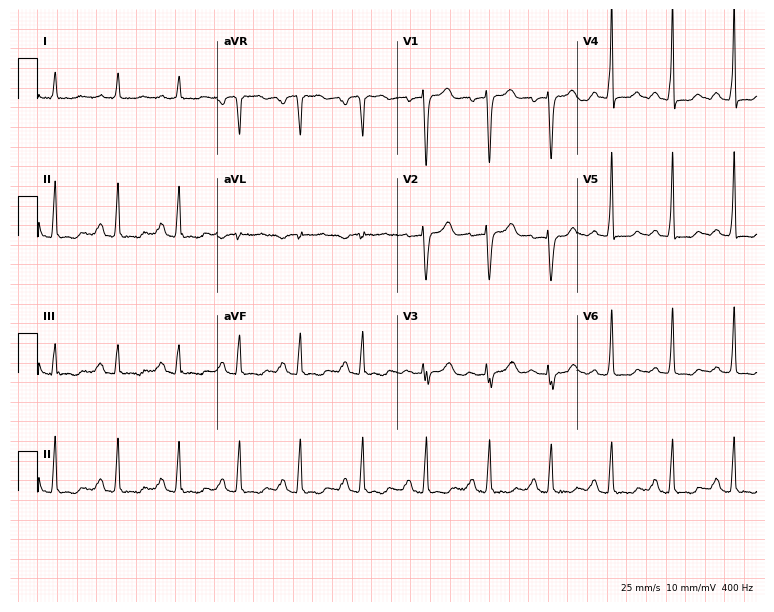
12-lead ECG from a 57-year-old woman (7.3-second recording at 400 Hz). No first-degree AV block, right bundle branch block (RBBB), left bundle branch block (LBBB), sinus bradycardia, atrial fibrillation (AF) or sinus tachycardia recorded for this tracing.